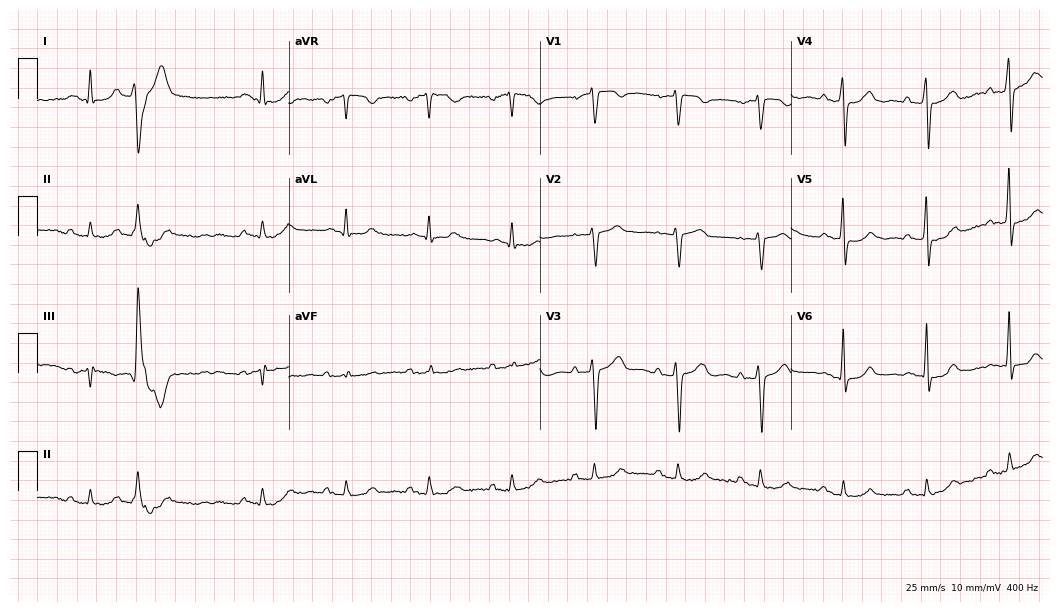
Resting 12-lead electrocardiogram (10.2-second recording at 400 Hz). Patient: a male, 82 years old. Read as a normal ECG.